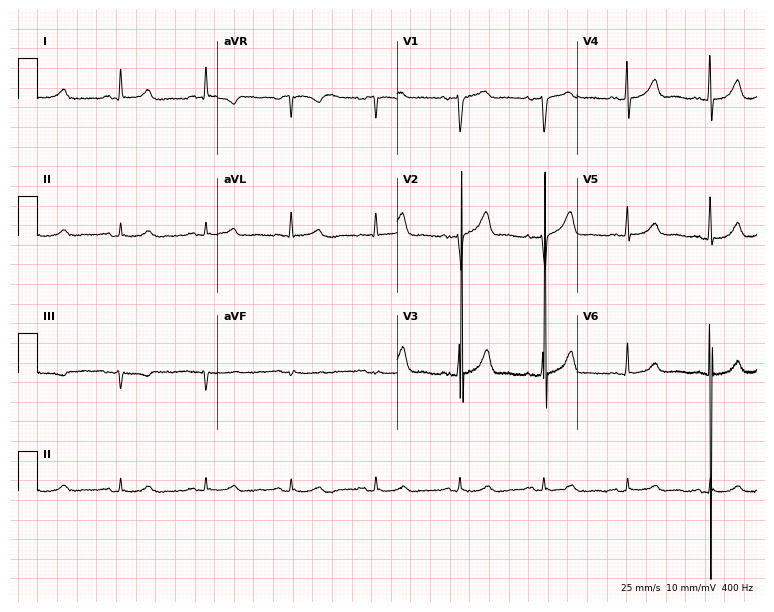
ECG (7.3-second recording at 400 Hz) — a man, 54 years old. Screened for six findings — first-degree AV block, right bundle branch block (RBBB), left bundle branch block (LBBB), sinus bradycardia, atrial fibrillation (AF), sinus tachycardia — none is recorded.